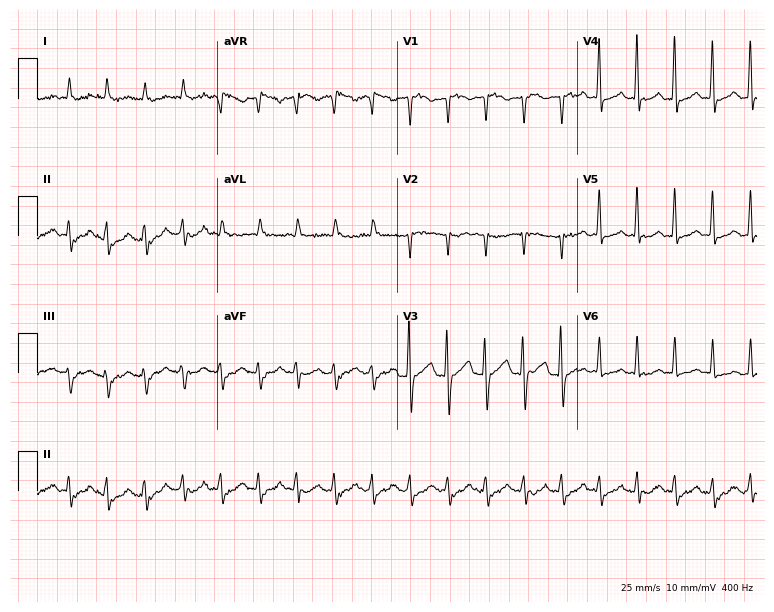
Standard 12-lead ECG recorded from a 68-year-old male (7.3-second recording at 400 Hz). None of these six findings is recorded: first-degree AV block, right bundle branch block, left bundle branch block, sinus bradycardia, atrial fibrillation, sinus tachycardia. Findings outside these six are not listed.